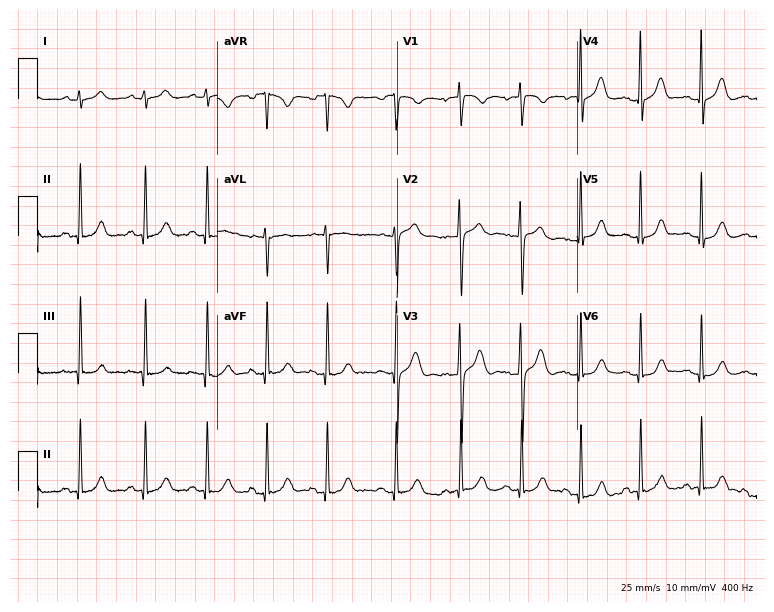
Standard 12-lead ECG recorded from a female patient, 27 years old (7.3-second recording at 400 Hz). Read as a normal ECG.